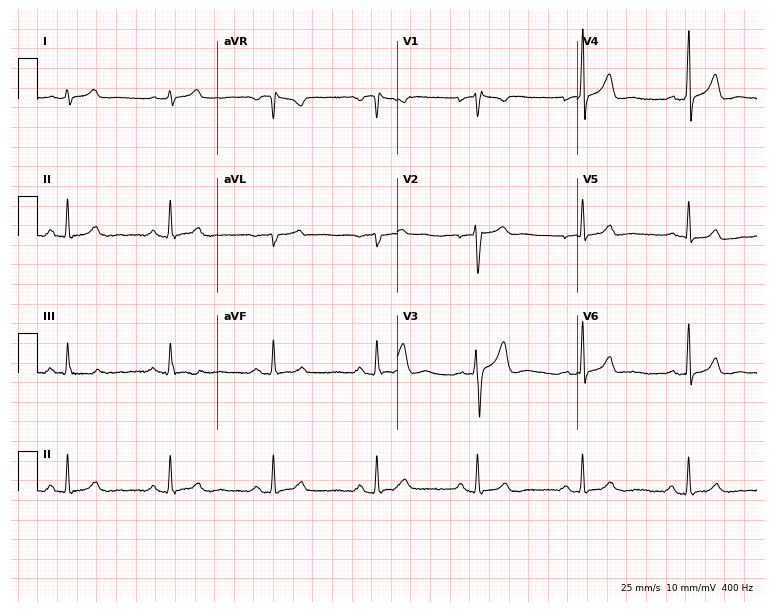
12-lead ECG (7.3-second recording at 400 Hz) from a 43-year-old man. Screened for six findings — first-degree AV block, right bundle branch block, left bundle branch block, sinus bradycardia, atrial fibrillation, sinus tachycardia — none is recorded.